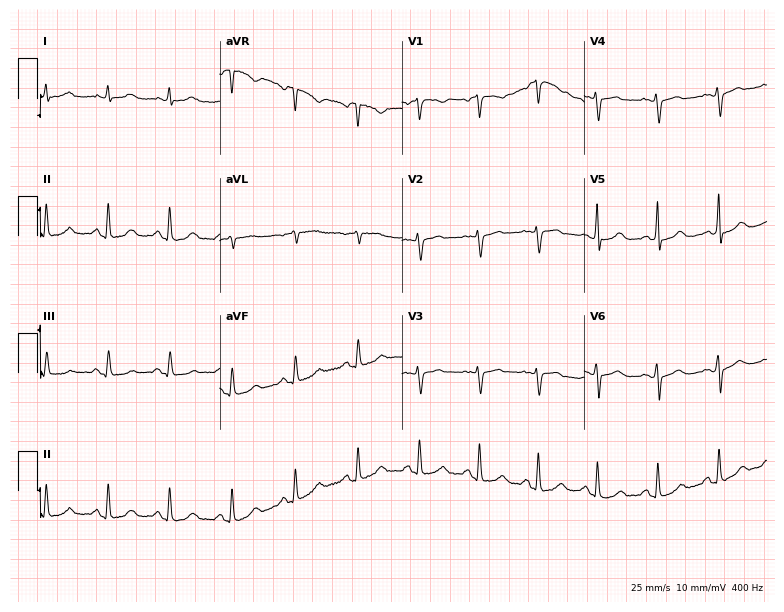
12-lead ECG from a female, 53 years old (7.4-second recording at 400 Hz). No first-degree AV block, right bundle branch block, left bundle branch block, sinus bradycardia, atrial fibrillation or sinus tachycardia recorded for this tracing.